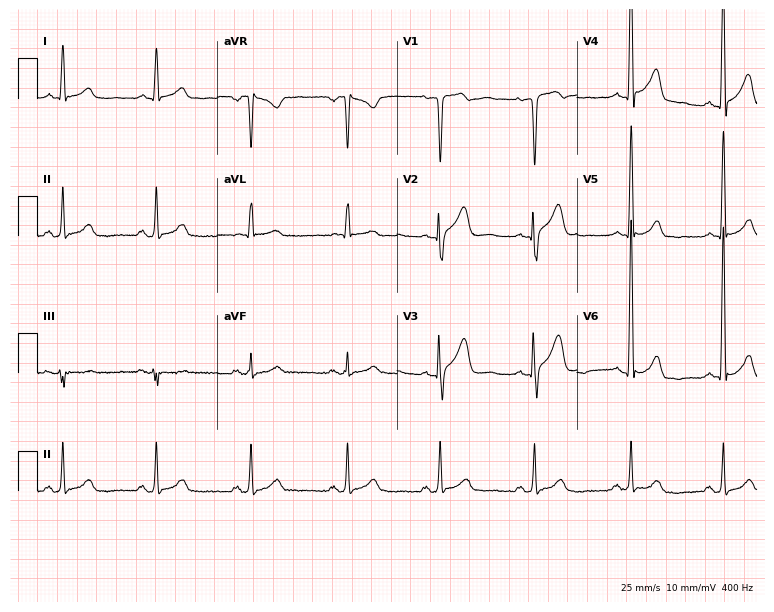
ECG — a male, 43 years old. Screened for six findings — first-degree AV block, right bundle branch block (RBBB), left bundle branch block (LBBB), sinus bradycardia, atrial fibrillation (AF), sinus tachycardia — none is recorded.